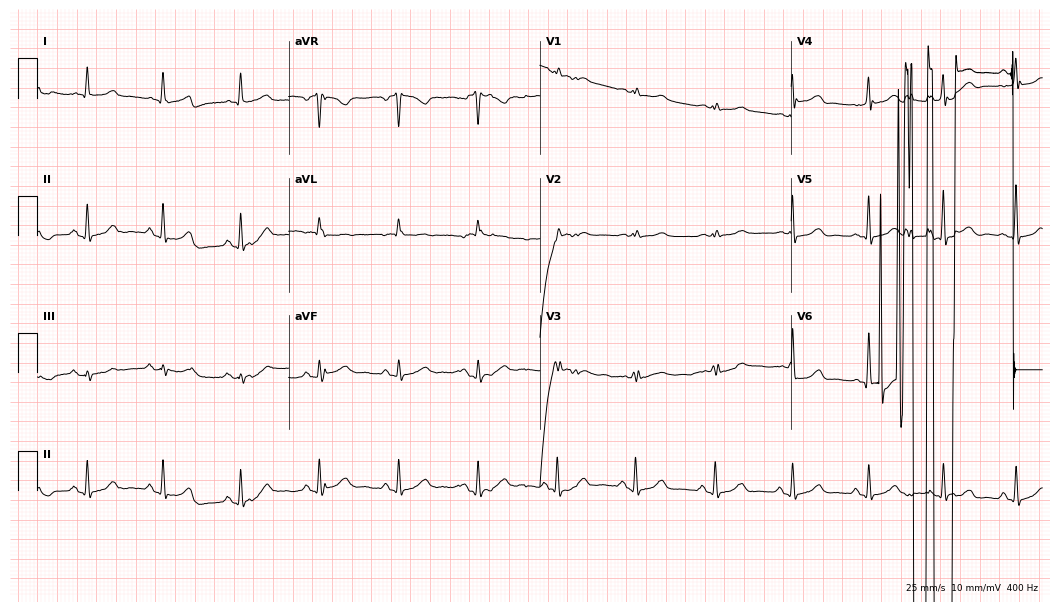
Standard 12-lead ECG recorded from a 62-year-old female (10.2-second recording at 400 Hz). None of these six findings is recorded: first-degree AV block, right bundle branch block, left bundle branch block, sinus bradycardia, atrial fibrillation, sinus tachycardia.